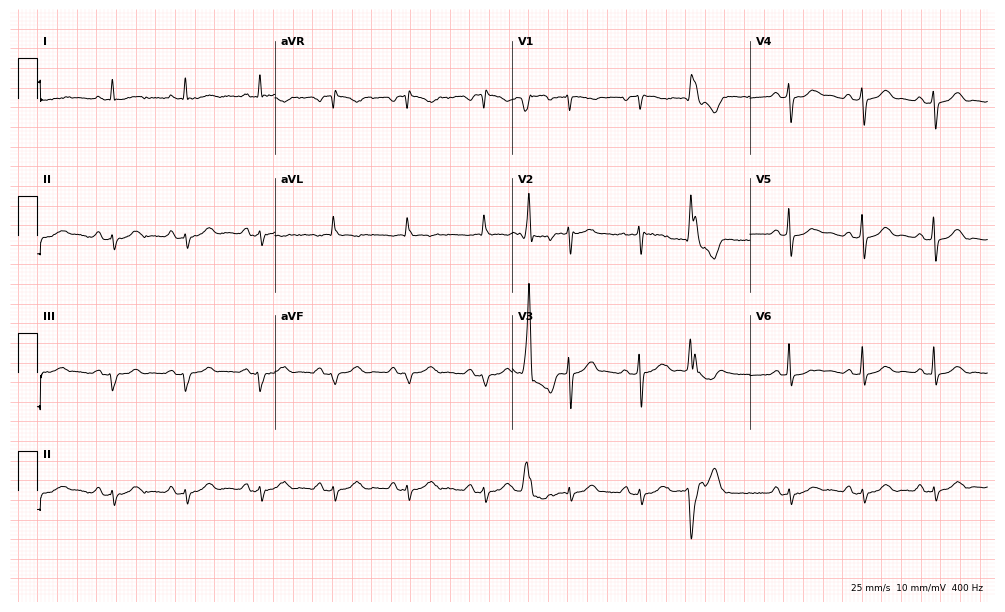
Standard 12-lead ECG recorded from an 80-year-old male patient (9.7-second recording at 400 Hz). None of these six findings is recorded: first-degree AV block, right bundle branch block (RBBB), left bundle branch block (LBBB), sinus bradycardia, atrial fibrillation (AF), sinus tachycardia.